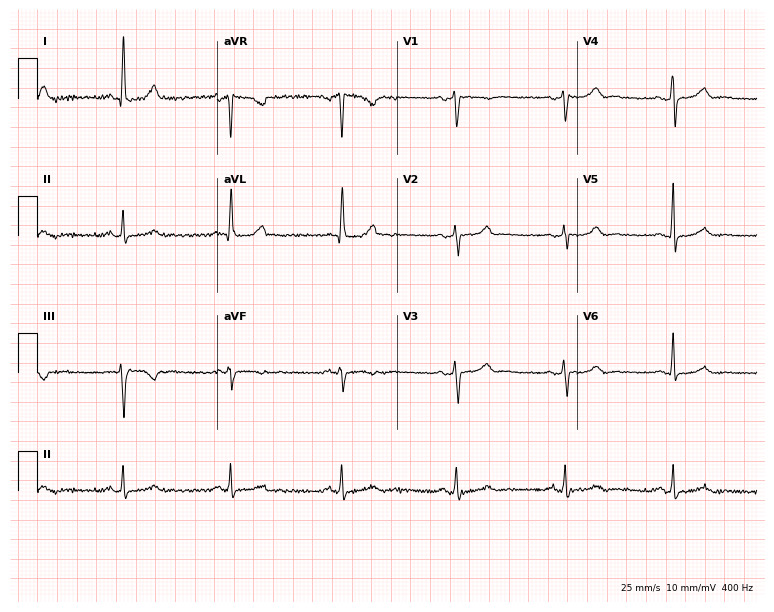
Electrocardiogram (7.3-second recording at 400 Hz), a woman, 35 years old. Overall reading on record: normal ECG.